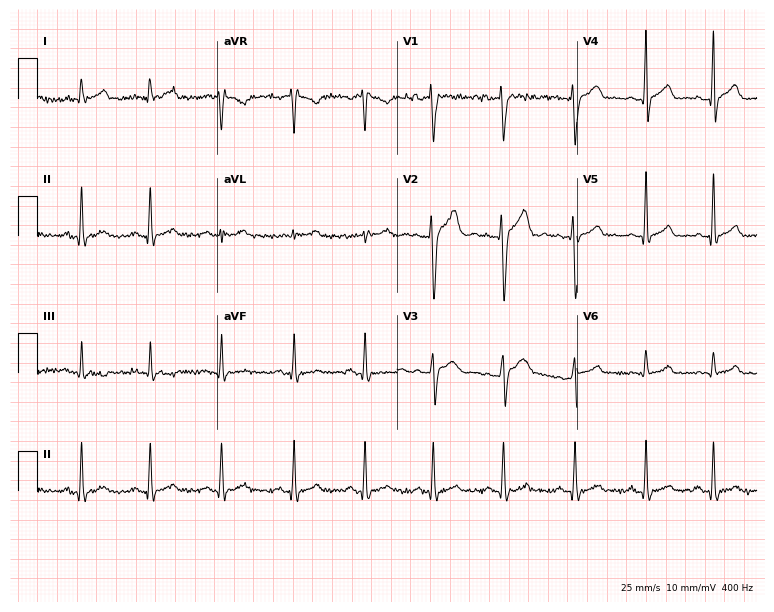
Resting 12-lead electrocardiogram (7.3-second recording at 400 Hz). Patient: a male, 30 years old. Read as a normal ECG.